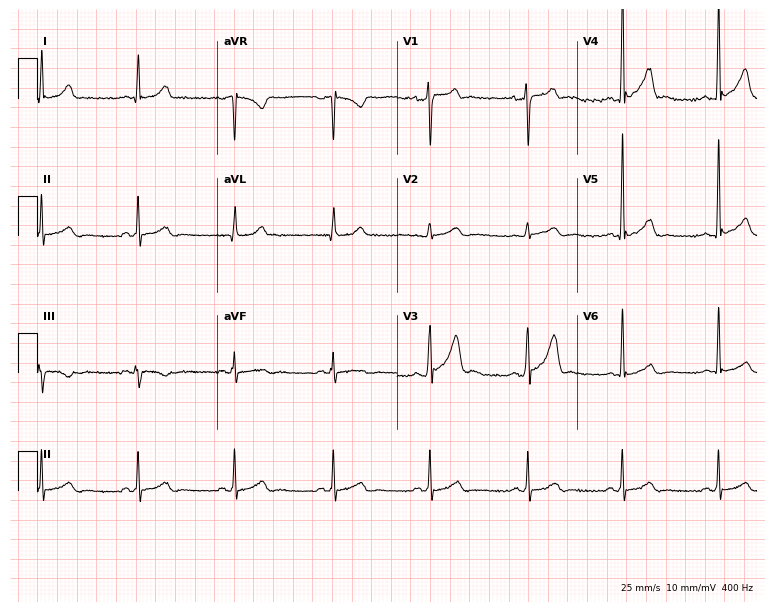
Resting 12-lead electrocardiogram (7.3-second recording at 400 Hz). Patient: a man, 42 years old. Read as a normal ECG.